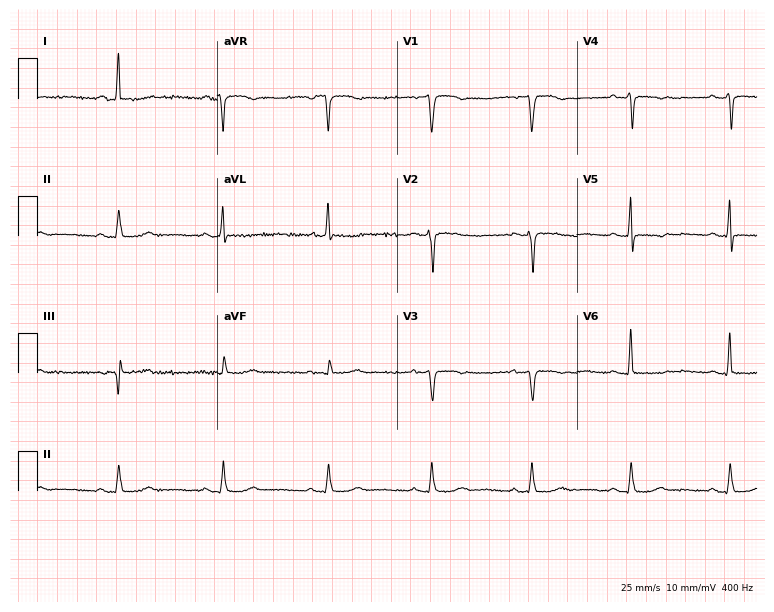
12-lead ECG from a woman, 66 years old. Screened for six findings — first-degree AV block, right bundle branch block, left bundle branch block, sinus bradycardia, atrial fibrillation, sinus tachycardia — none is recorded. Other findings, if any, are not listed.